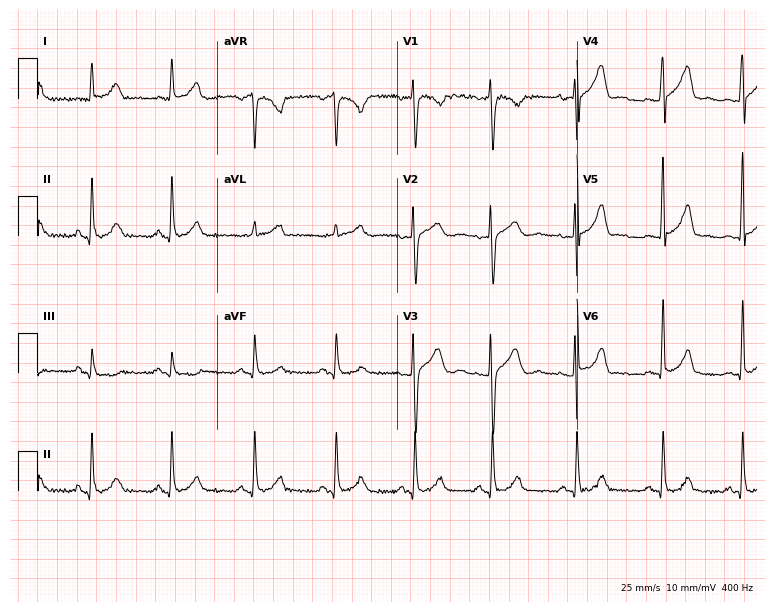
Resting 12-lead electrocardiogram. Patient: a 29-year-old female. Read as a normal ECG.